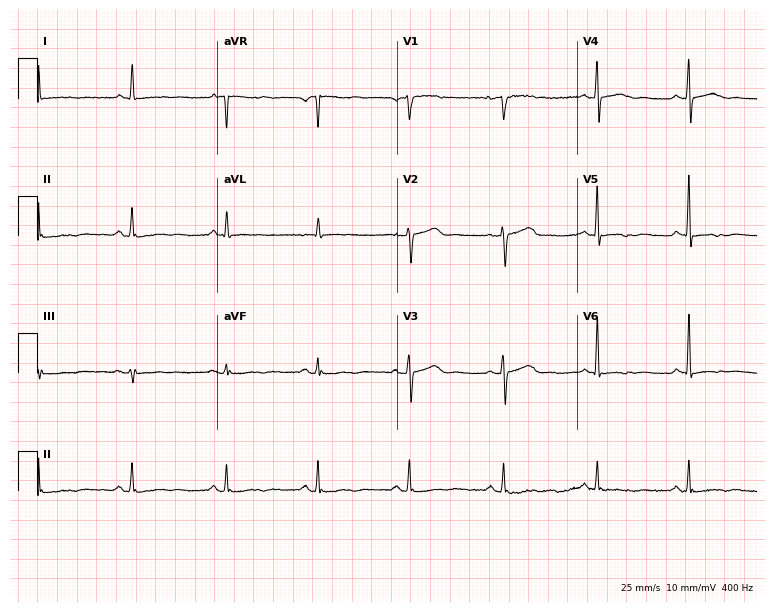
ECG — a 50-year-old woman. Screened for six findings — first-degree AV block, right bundle branch block (RBBB), left bundle branch block (LBBB), sinus bradycardia, atrial fibrillation (AF), sinus tachycardia — none is recorded. Findings outside these six are not listed.